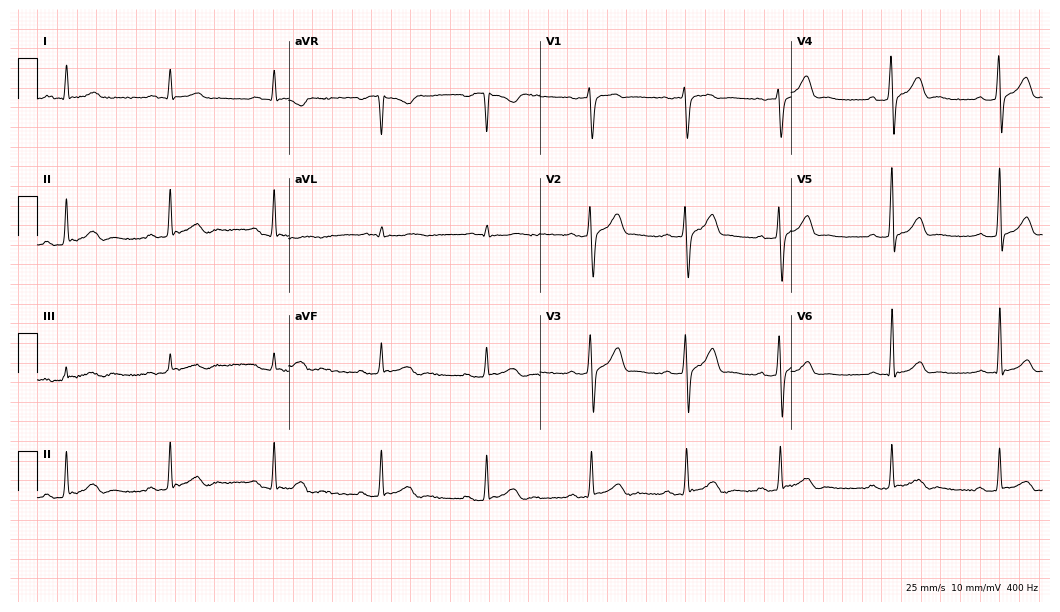
ECG — a 52-year-old man. Labelled as a normal ECG.